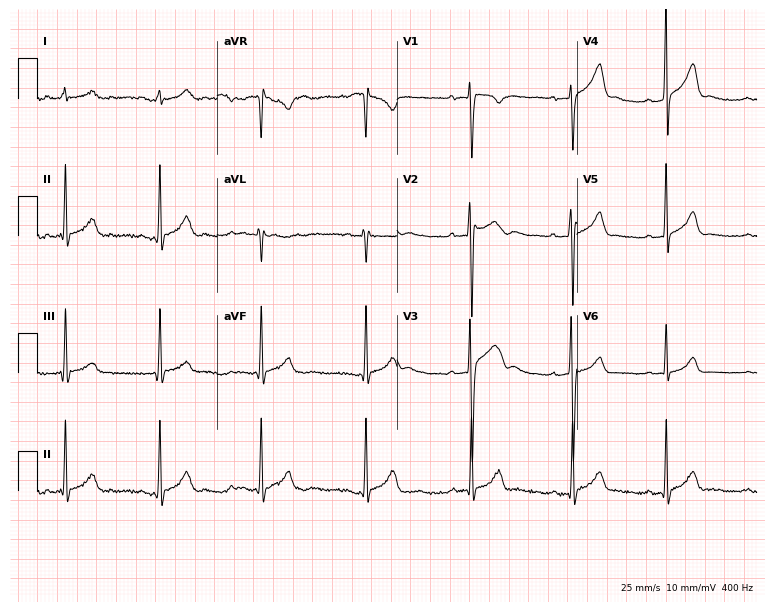
12-lead ECG from a male, 17 years old (7.3-second recording at 400 Hz). Recorded interpretation: within normal limits.